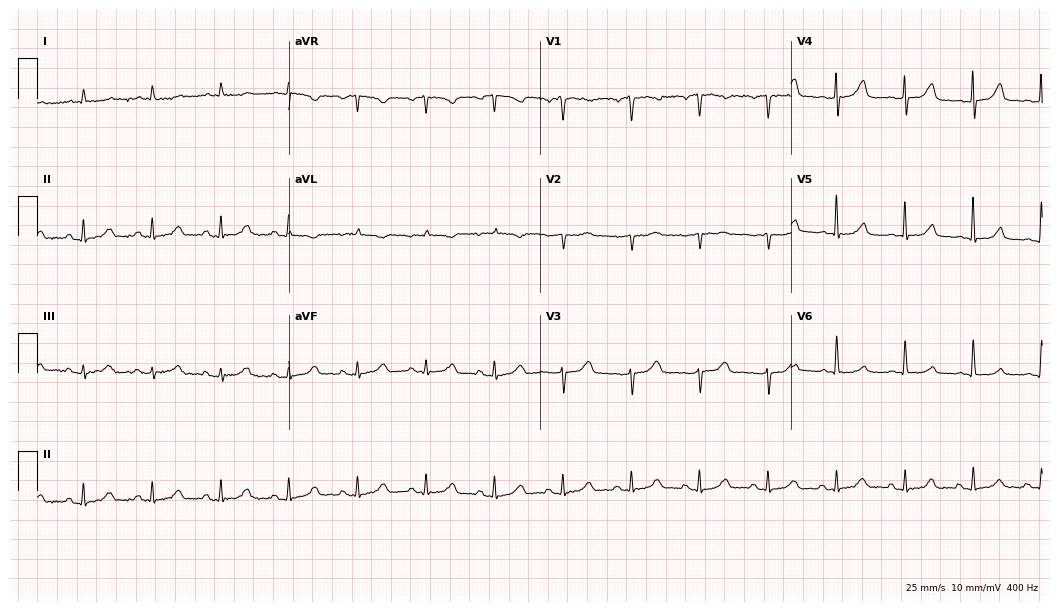
12-lead ECG from a man, 82 years old. Screened for six findings — first-degree AV block, right bundle branch block, left bundle branch block, sinus bradycardia, atrial fibrillation, sinus tachycardia — none is recorded. Findings outside these six are not listed.